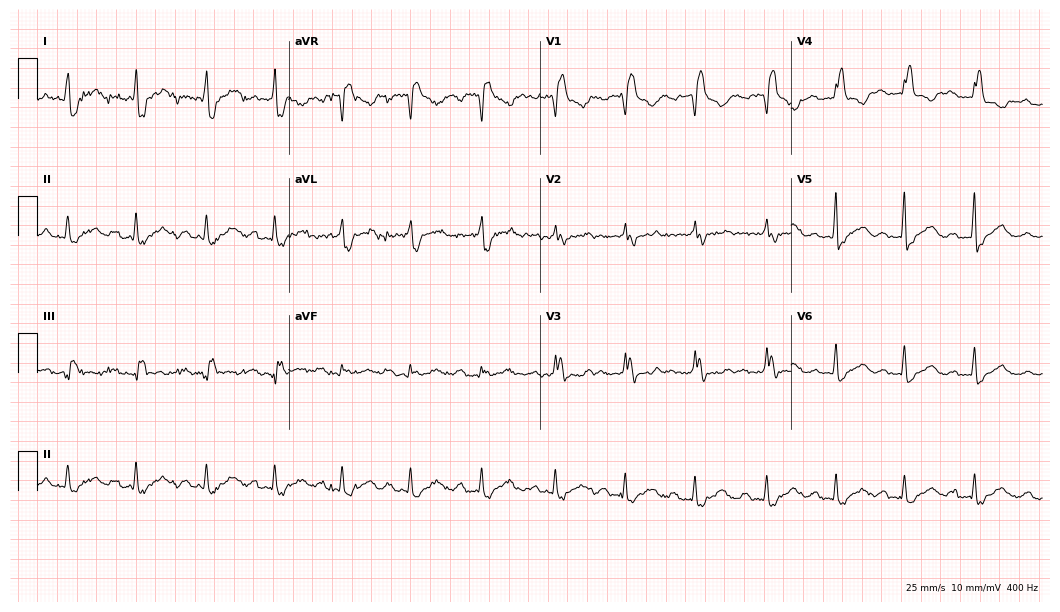
12-lead ECG from a female, 66 years old (10.2-second recording at 400 Hz). No first-degree AV block, right bundle branch block, left bundle branch block, sinus bradycardia, atrial fibrillation or sinus tachycardia recorded for this tracing.